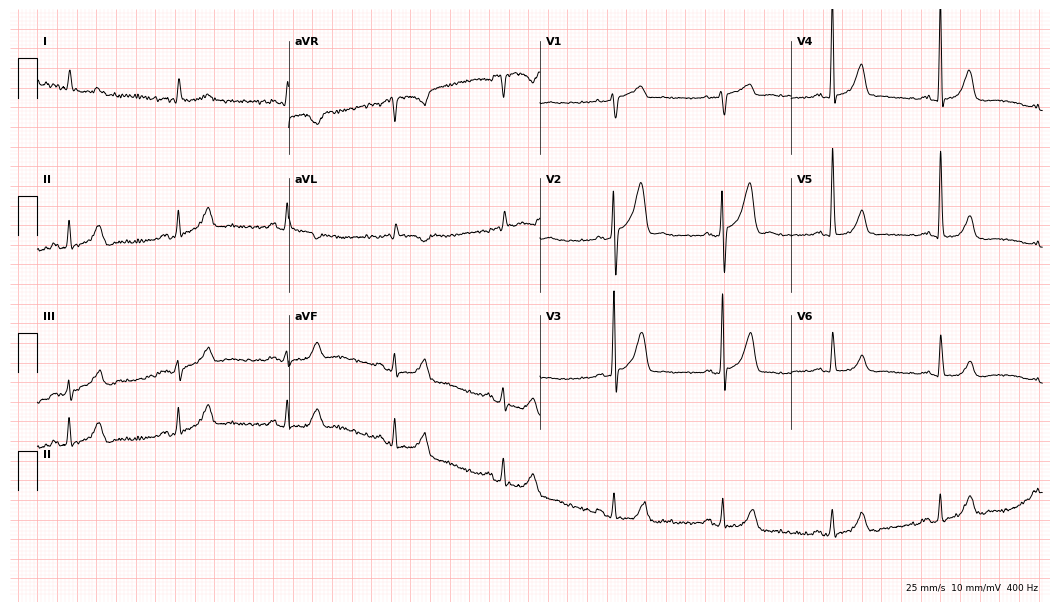
12-lead ECG from a male patient, 78 years old (10.2-second recording at 400 Hz). Recorded interpretation: within normal limits.